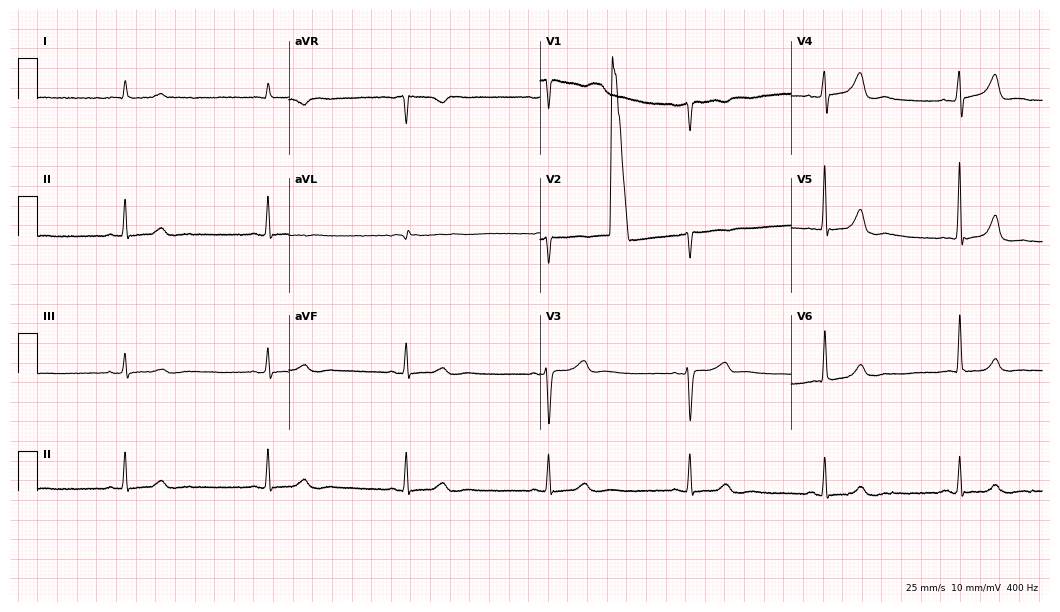
12-lead ECG from a female patient, 84 years old. Findings include sinus bradycardia (a sinus rate of 50 beats per minute or less).